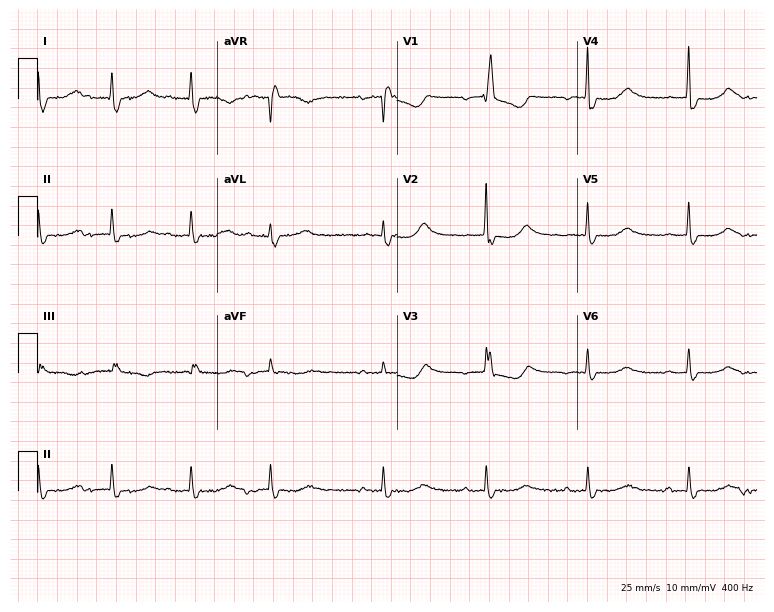
12-lead ECG from an 81-year-old female. No first-degree AV block, right bundle branch block, left bundle branch block, sinus bradycardia, atrial fibrillation or sinus tachycardia recorded for this tracing. Other findings, if any, are not listed.